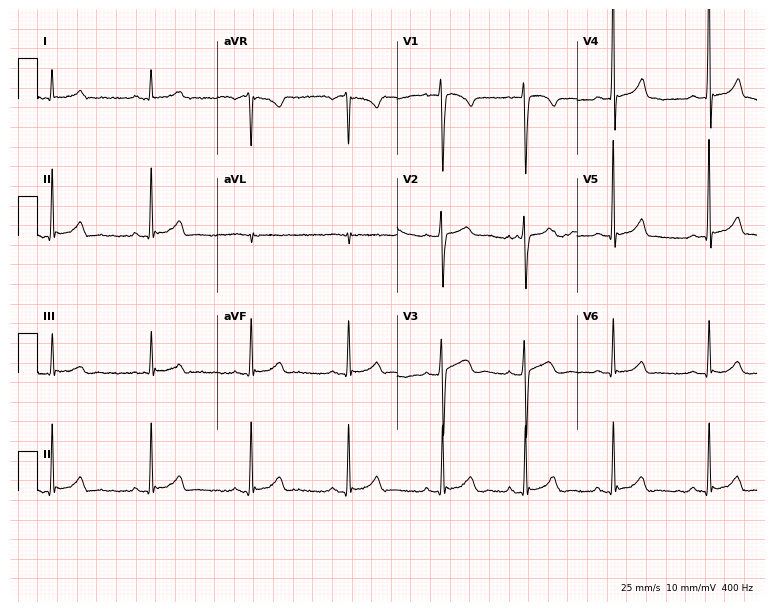
12-lead ECG from a 19-year-old man (7.3-second recording at 400 Hz). Recorded interpretation: within normal limits.